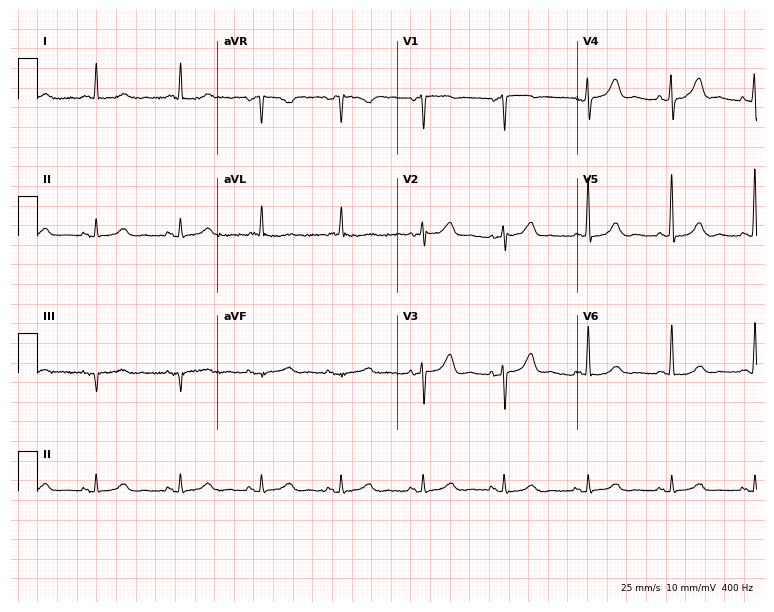
ECG (7.3-second recording at 400 Hz) — a 70-year-old female patient. Labelled as a normal ECG.